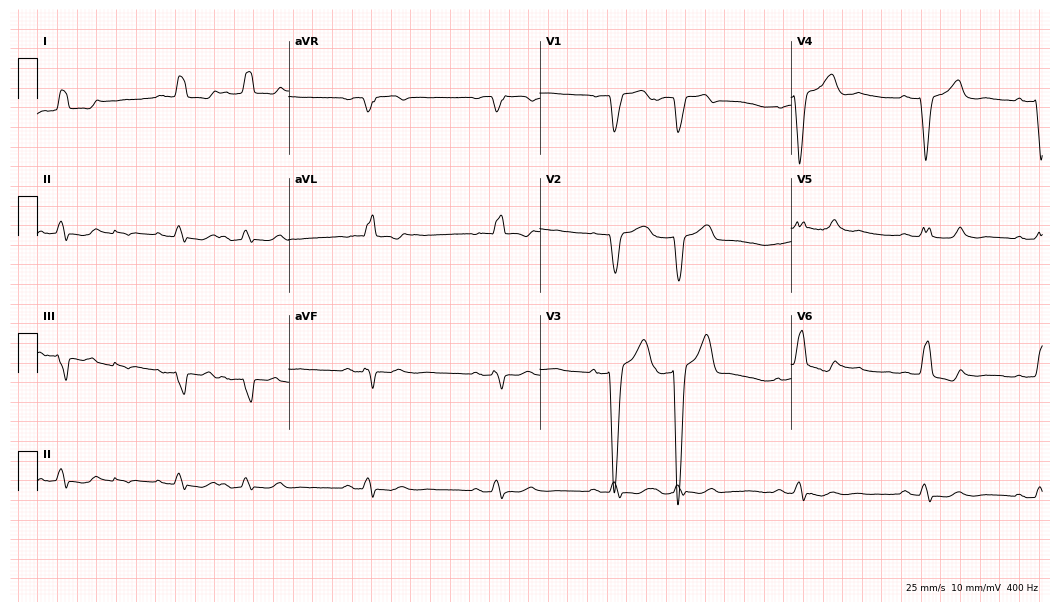
ECG (10.2-second recording at 400 Hz) — an 80-year-old male. Screened for six findings — first-degree AV block, right bundle branch block (RBBB), left bundle branch block (LBBB), sinus bradycardia, atrial fibrillation (AF), sinus tachycardia — none is recorded.